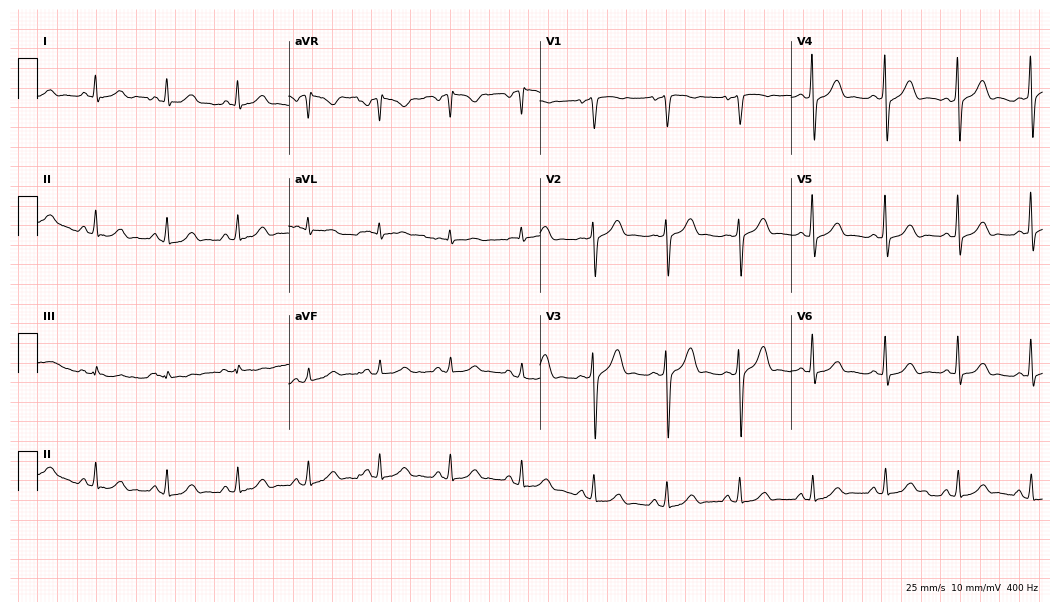
ECG (10.2-second recording at 400 Hz) — a 51-year-old male. Labelled as a normal ECG.